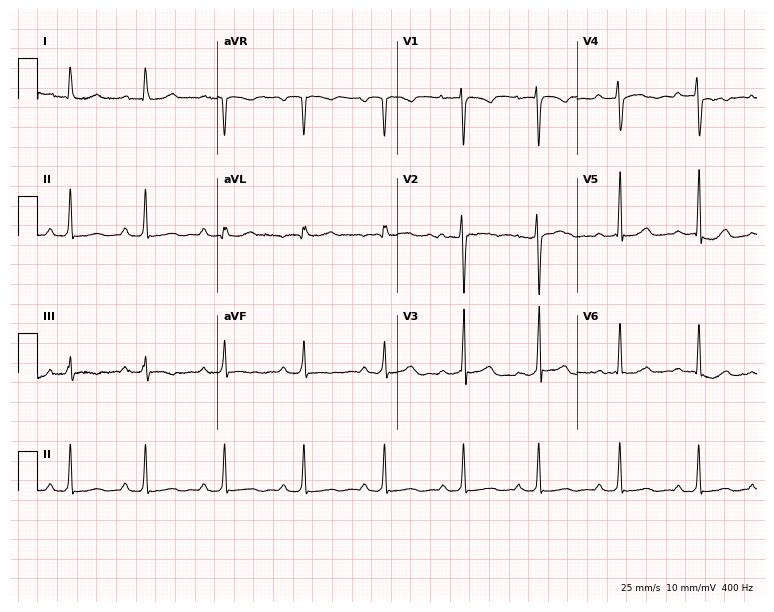
Standard 12-lead ECG recorded from a 19-year-old female. None of these six findings is recorded: first-degree AV block, right bundle branch block (RBBB), left bundle branch block (LBBB), sinus bradycardia, atrial fibrillation (AF), sinus tachycardia.